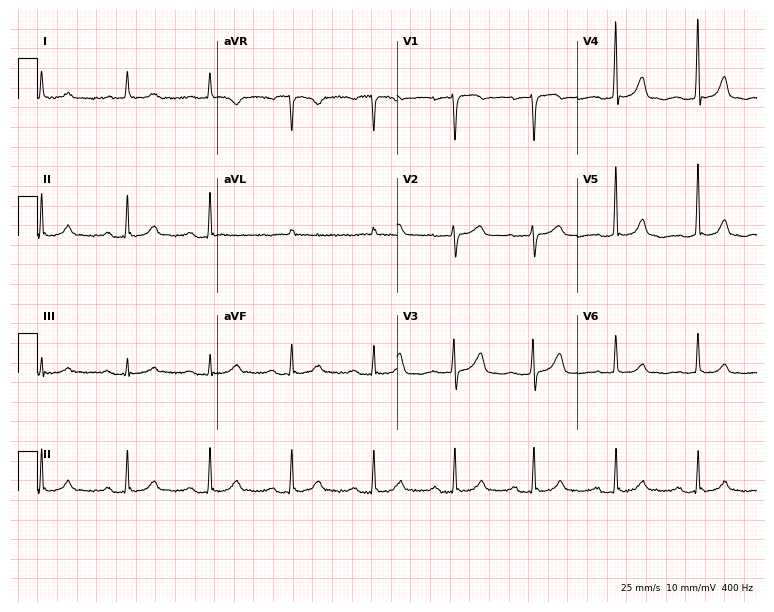
12-lead ECG (7.3-second recording at 400 Hz) from an 84-year-old male patient. Screened for six findings — first-degree AV block, right bundle branch block, left bundle branch block, sinus bradycardia, atrial fibrillation, sinus tachycardia — none is recorded. Findings outside these six are not listed.